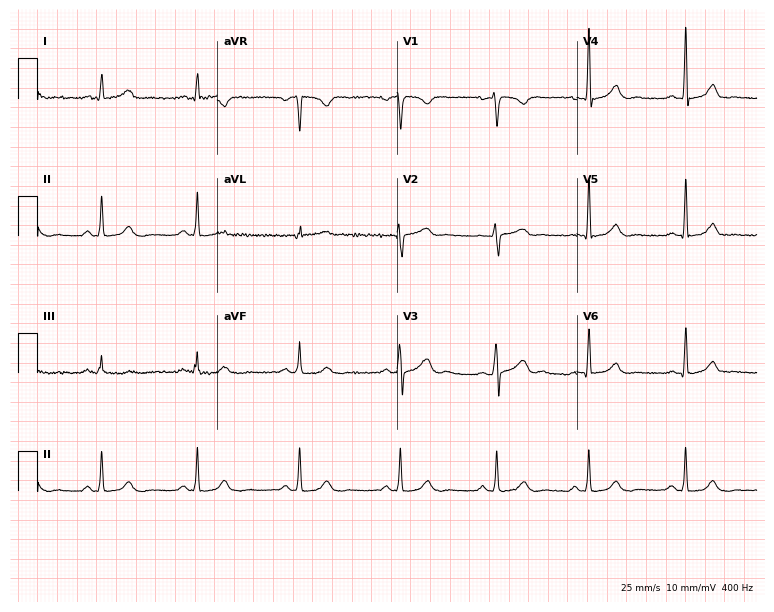
Resting 12-lead electrocardiogram (7.3-second recording at 400 Hz). Patient: a woman, 39 years old. Read as a normal ECG.